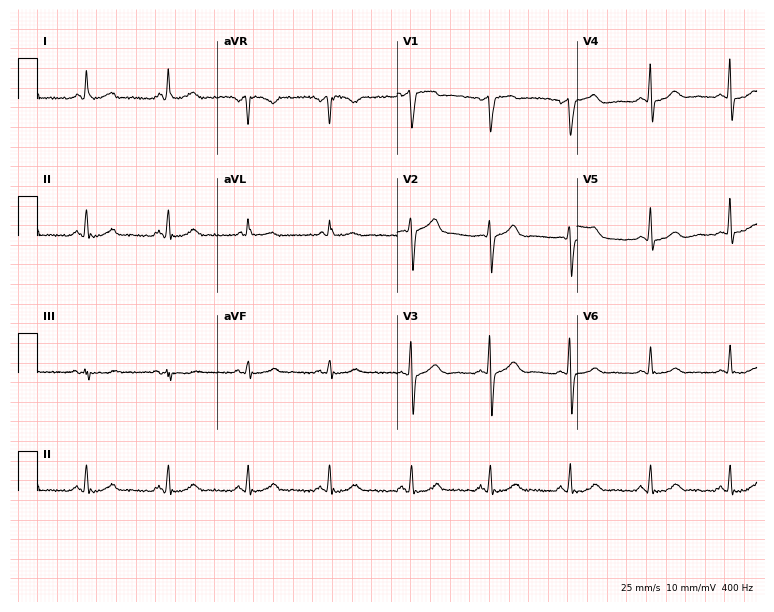
Electrocardiogram (7.3-second recording at 400 Hz), a 41-year-old female patient. Of the six screened findings (first-degree AV block, right bundle branch block, left bundle branch block, sinus bradycardia, atrial fibrillation, sinus tachycardia), none is recorded. Findings outside these six are not listed.